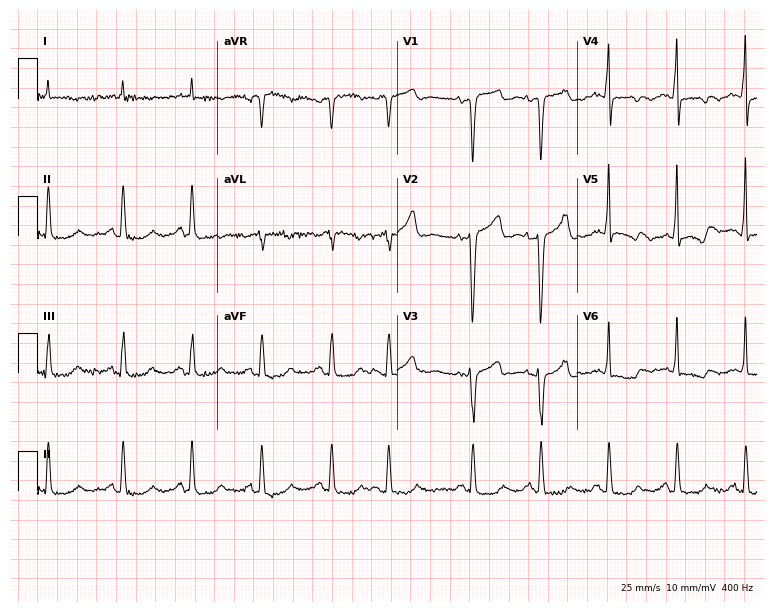
Electrocardiogram, a 76-year-old man. Of the six screened findings (first-degree AV block, right bundle branch block, left bundle branch block, sinus bradycardia, atrial fibrillation, sinus tachycardia), none is recorded.